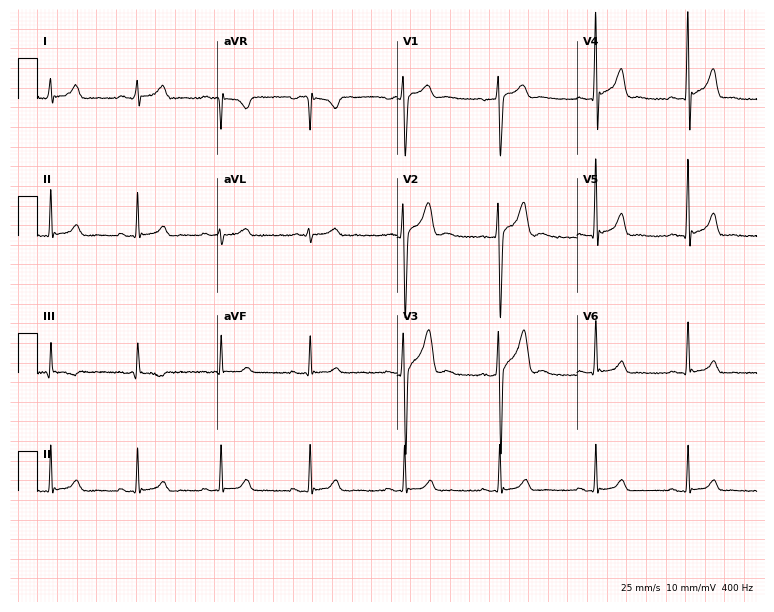
12-lead ECG from a male, 25 years old. No first-degree AV block, right bundle branch block, left bundle branch block, sinus bradycardia, atrial fibrillation or sinus tachycardia recorded for this tracing. Other findings, if any, are not listed.